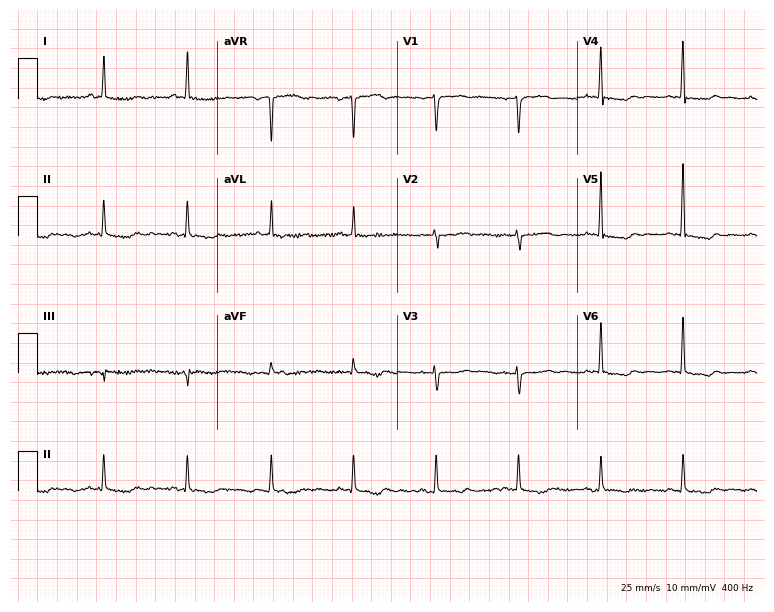
Standard 12-lead ECG recorded from an 83-year-old woman. None of these six findings is recorded: first-degree AV block, right bundle branch block (RBBB), left bundle branch block (LBBB), sinus bradycardia, atrial fibrillation (AF), sinus tachycardia.